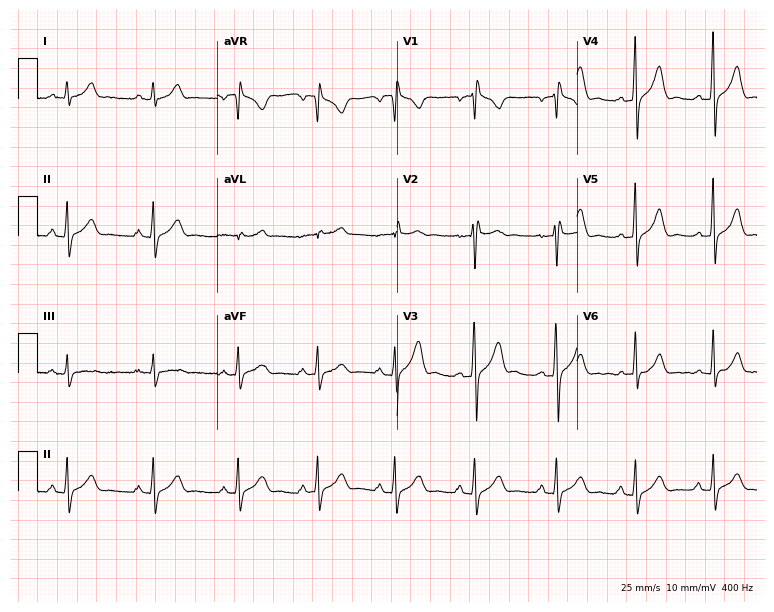
12-lead ECG from a man, 34 years old. Recorded interpretation: within normal limits.